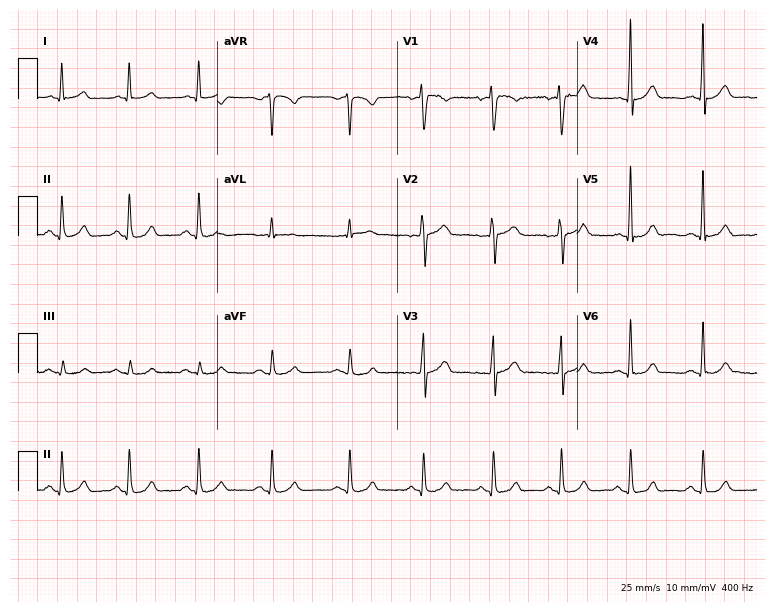
ECG — a female, 36 years old. Screened for six findings — first-degree AV block, right bundle branch block, left bundle branch block, sinus bradycardia, atrial fibrillation, sinus tachycardia — none is recorded. Other findings, if any, are not listed.